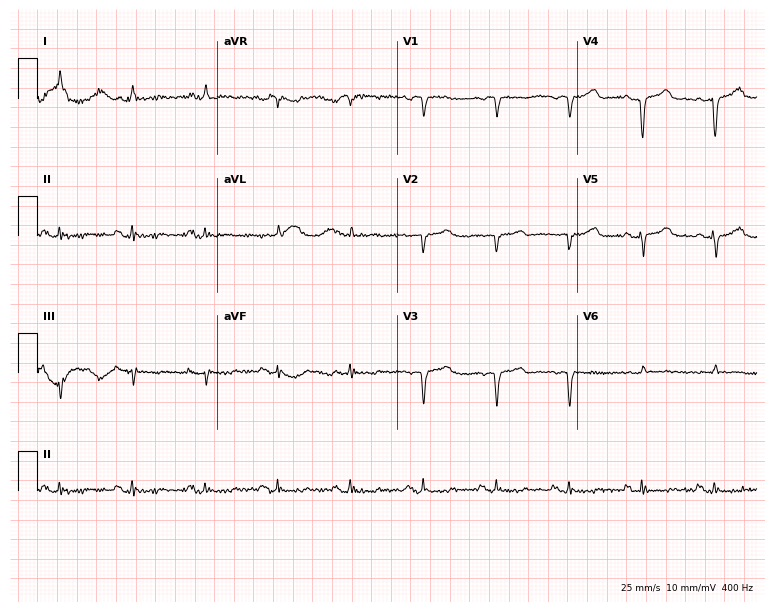
Resting 12-lead electrocardiogram (7.3-second recording at 400 Hz). Patient: an 83-year-old man. None of these six findings is recorded: first-degree AV block, right bundle branch block, left bundle branch block, sinus bradycardia, atrial fibrillation, sinus tachycardia.